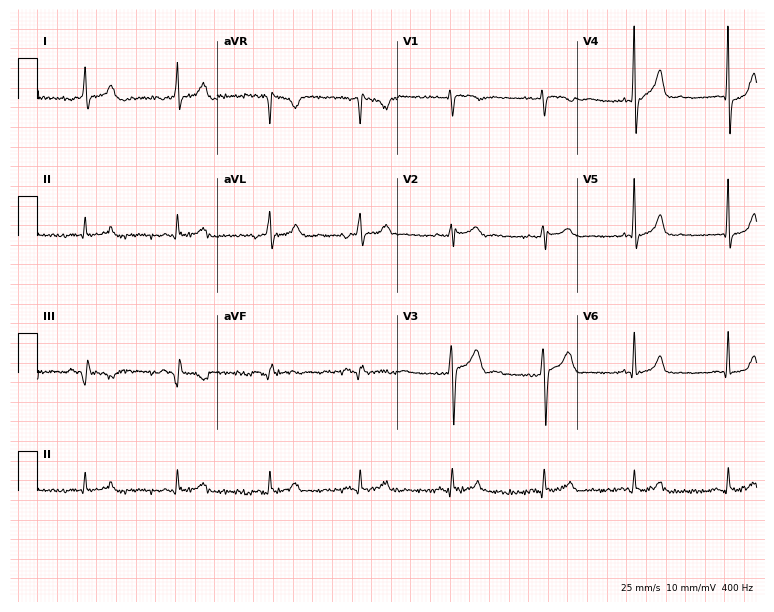
12-lead ECG from a 60-year-old man (7.3-second recording at 400 Hz). Recorded interpretation: within normal limits.